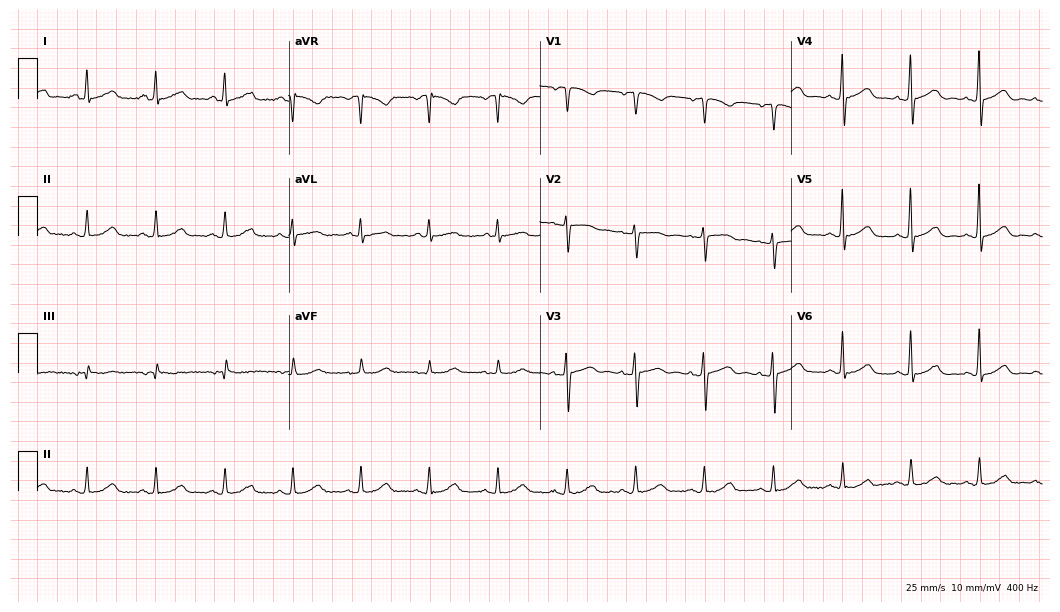
ECG — a 60-year-old female. Labelled as a normal ECG.